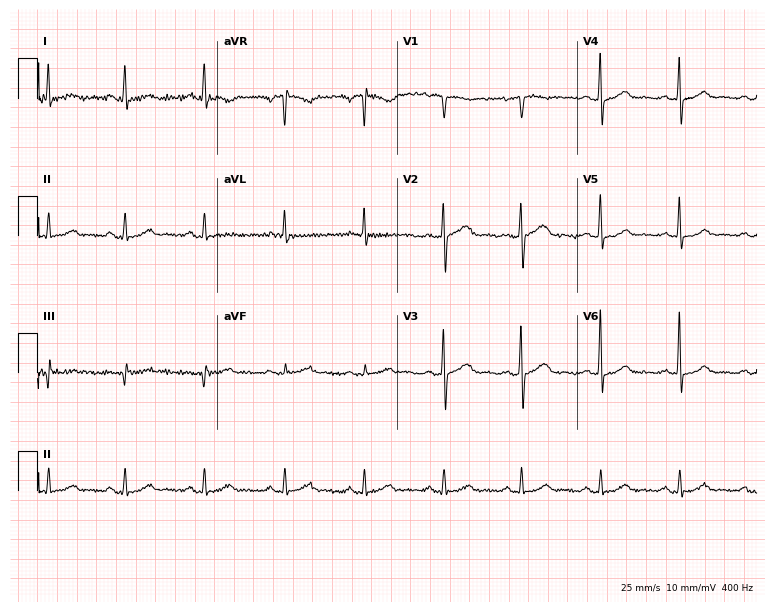
ECG (7.3-second recording at 400 Hz) — a female patient, 51 years old. Labelled as a normal ECG.